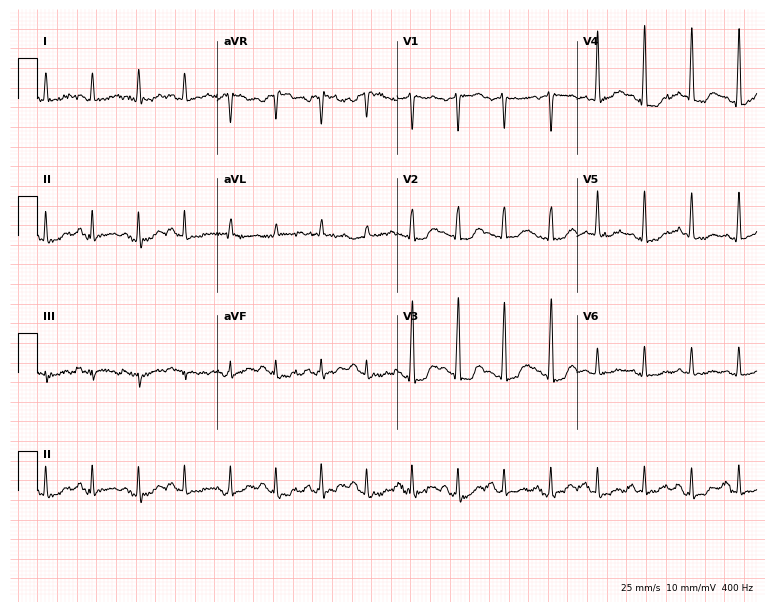
ECG — a female patient, 40 years old. Findings include sinus tachycardia (a sinus rate of 100 beats per minute or more).